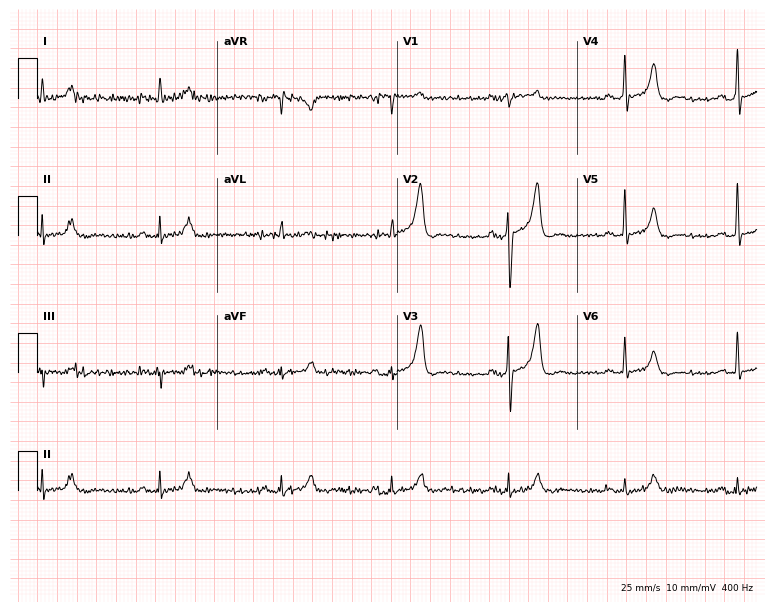
12-lead ECG from a 76-year-old male (7.3-second recording at 400 Hz). No first-degree AV block, right bundle branch block (RBBB), left bundle branch block (LBBB), sinus bradycardia, atrial fibrillation (AF) or sinus tachycardia recorded for this tracing. Only these six findings were labelled.